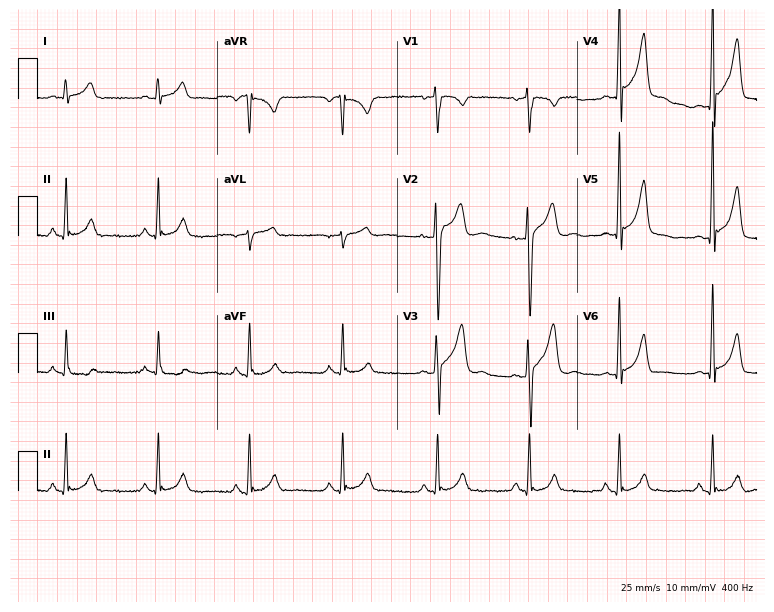
Resting 12-lead electrocardiogram (7.3-second recording at 400 Hz). Patient: a male, 40 years old. None of these six findings is recorded: first-degree AV block, right bundle branch block, left bundle branch block, sinus bradycardia, atrial fibrillation, sinus tachycardia. Other findings, if any, are not listed.